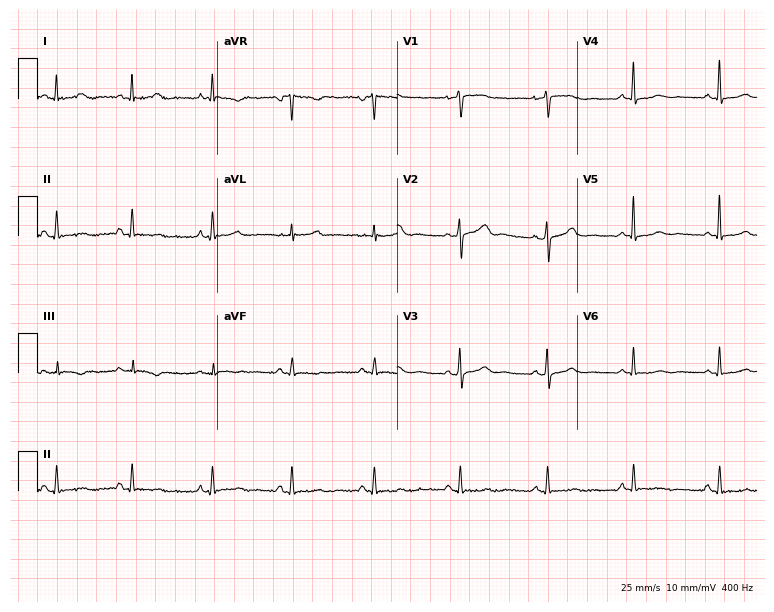
Standard 12-lead ECG recorded from a 69-year-old female. None of these six findings is recorded: first-degree AV block, right bundle branch block (RBBB), left bundle branch block (LBBB), sinus bradycardia, atrial fibrillation (AF), sinus tachycardia. Other findings, if any, are not listed.